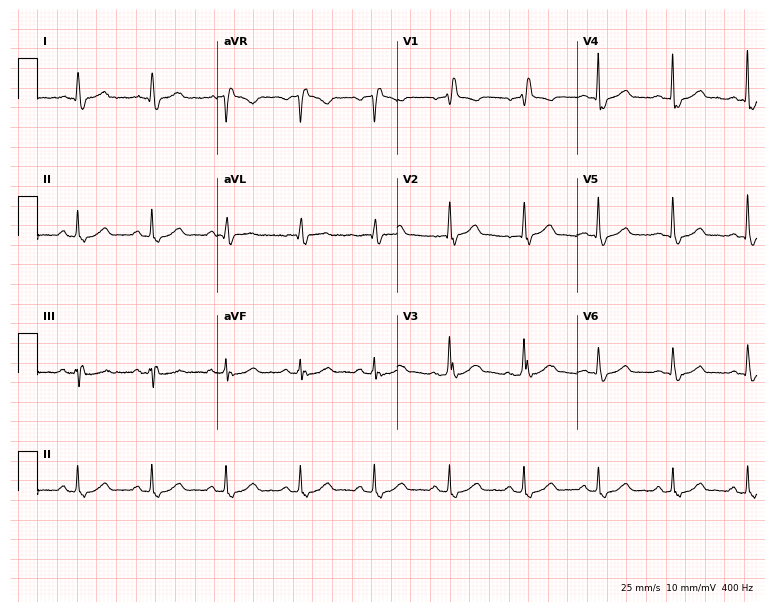
Electrocardiogram, an 80-year-old man. Interpretation includes right bundle branch block.